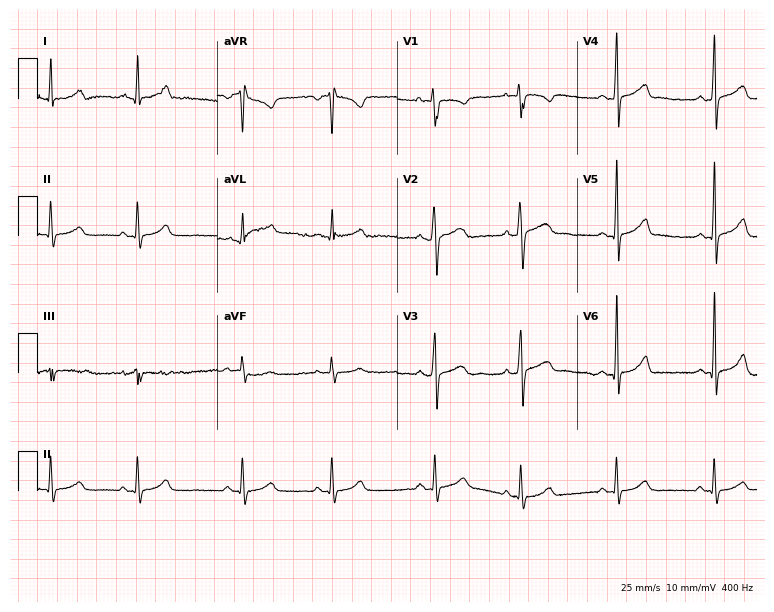
Electrocardiogram, a male, 25 years old. Of the six screened findings (first-degree AV block, right bundle branch block (RBBB), left bundle branch block (LBBB), sinus bradycardia, atrial fibrillation (AF), sinus tachycardia), none is recorded.